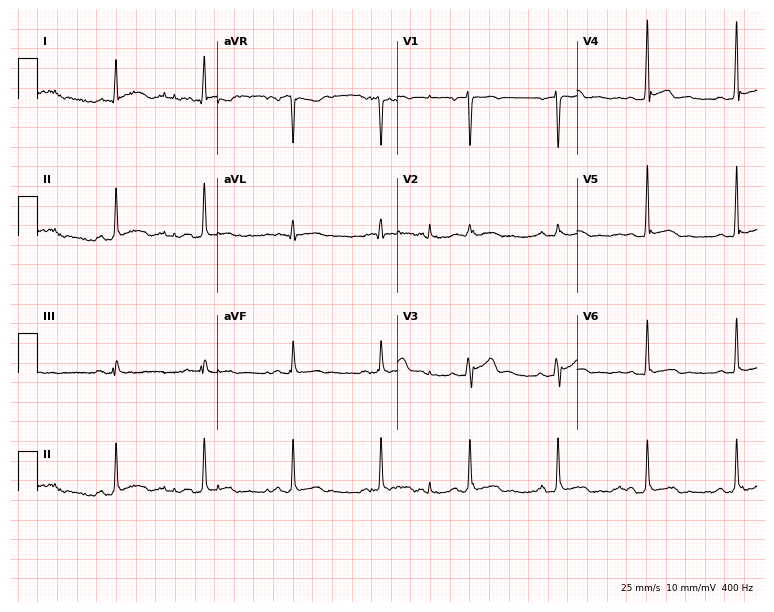
Standard 12-lead ECG recorded from a male, 52 years old. None of these six findings is recorded: first-degree AV block, right bundle branch block (RBBB), left bundle branch block (LBBB), sinus bradycardia, atrial fibrillation (AF), sinus tachycardia.